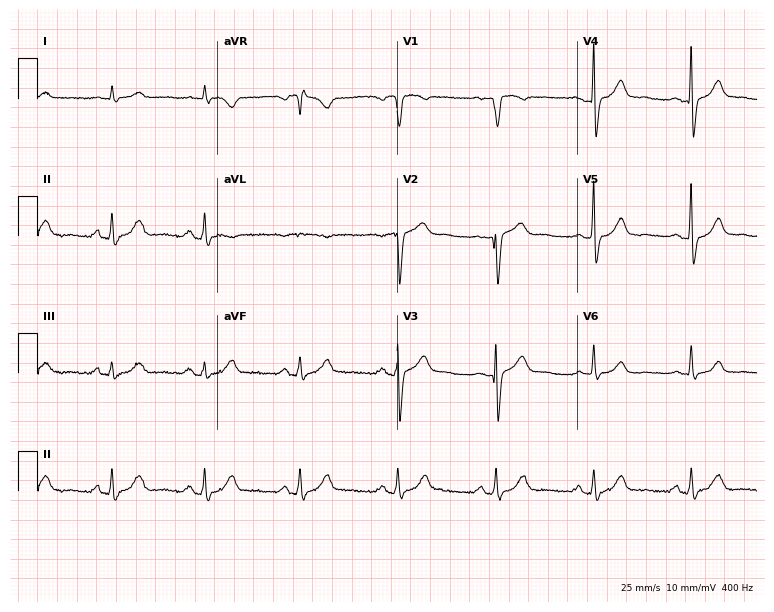
Electrocardiogram (7.3-second recording at 400 Hz), a 49-year-old male patient. Of the six screened findings (first-degree AV block, right bundle branch block, left bundle branch block, sinus bradycardia, atrial fibrillation, sinus tachycardia), none is recorded. Only these six findings were labelled.